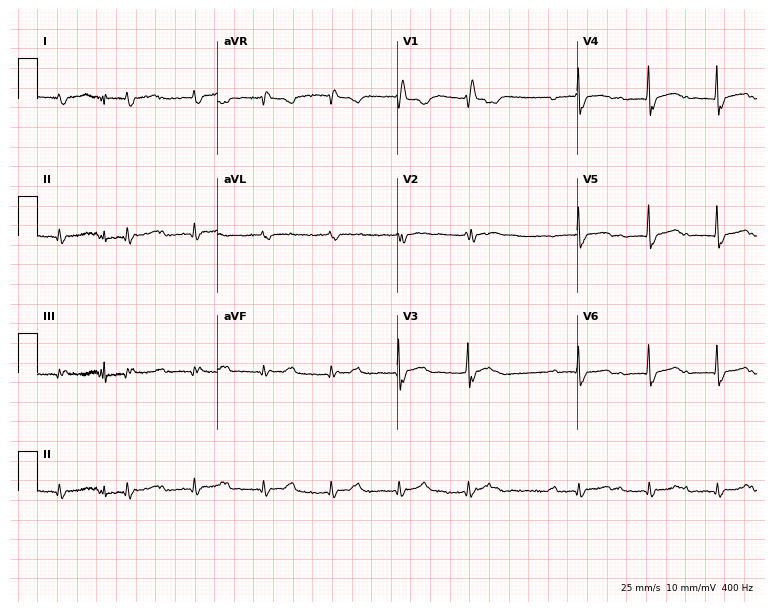
ECG — a male, 70 years old. Screened for six findings — first-degree AV block, right bundle branch block, left bundle branch block, sinus bradycardia, atrial fibrillation, sinus tachycardia — none is recorded.